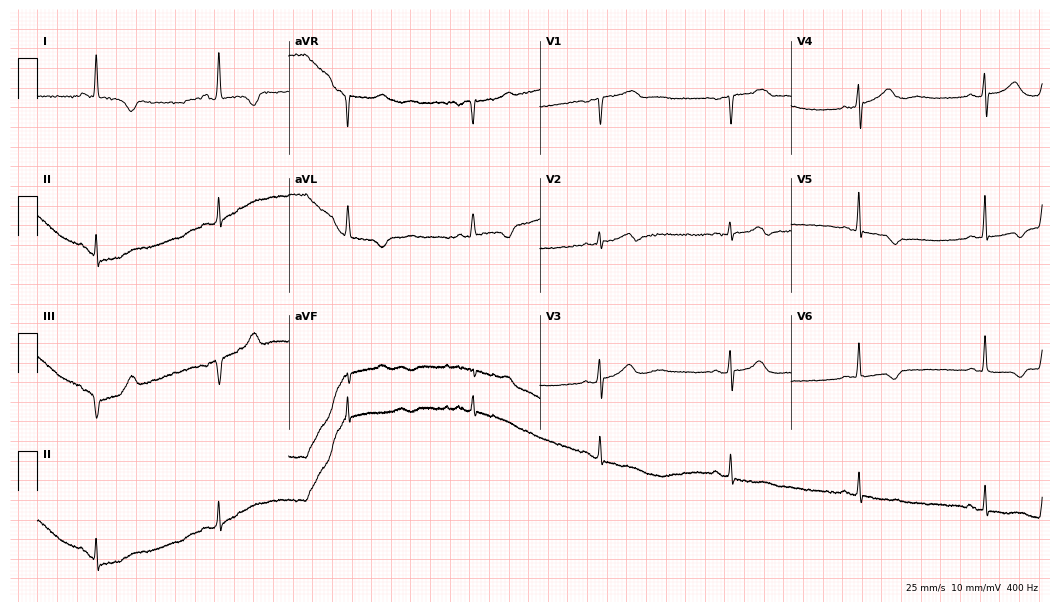
ECG (10.2-second recording at 400 Hz) — a 79-year-old woman. Findings include sinus bradycardia (a sinus rate of 50 beats per minute or less).